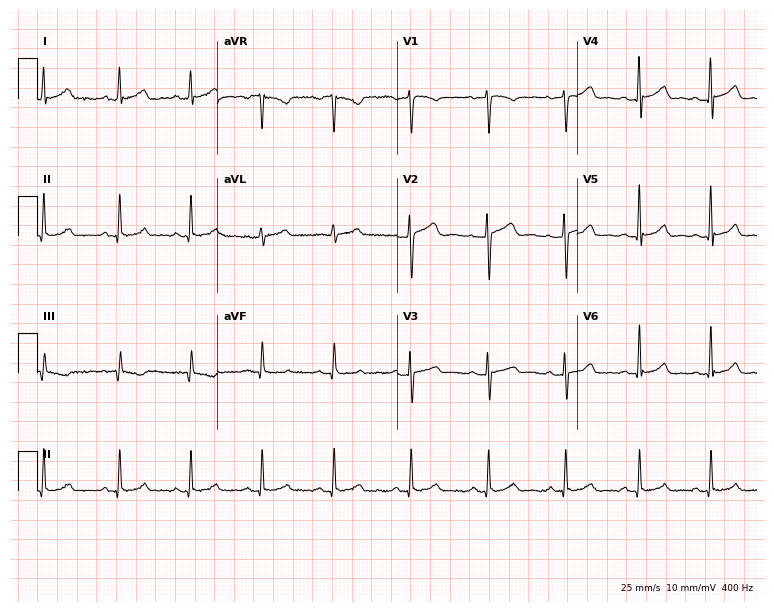
Resting 12-lead electrocardiogram (7.3-second recording at 400 Hz). Patient: a 36-year-old female. Read as a normal ECG.